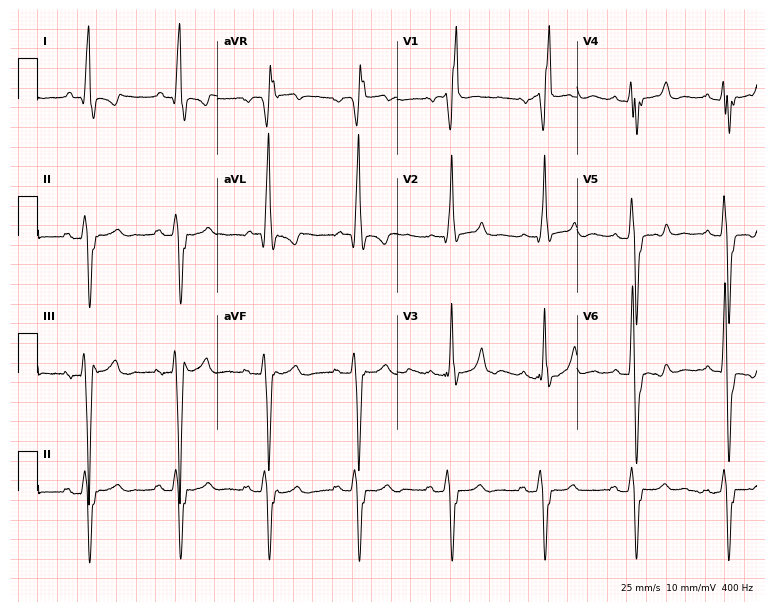
Electrocardiogram (7.3-second recording at 400 Hz), a 51-year-old male. Interpretation includes right bundle branch block.